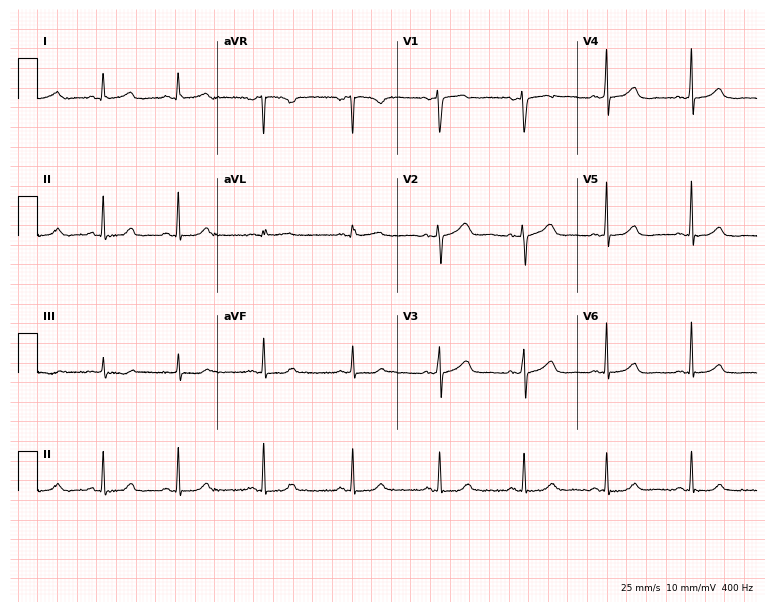
Standard 12-lead ECG recorded from a 43-year-old female. Read as a normal ECG.